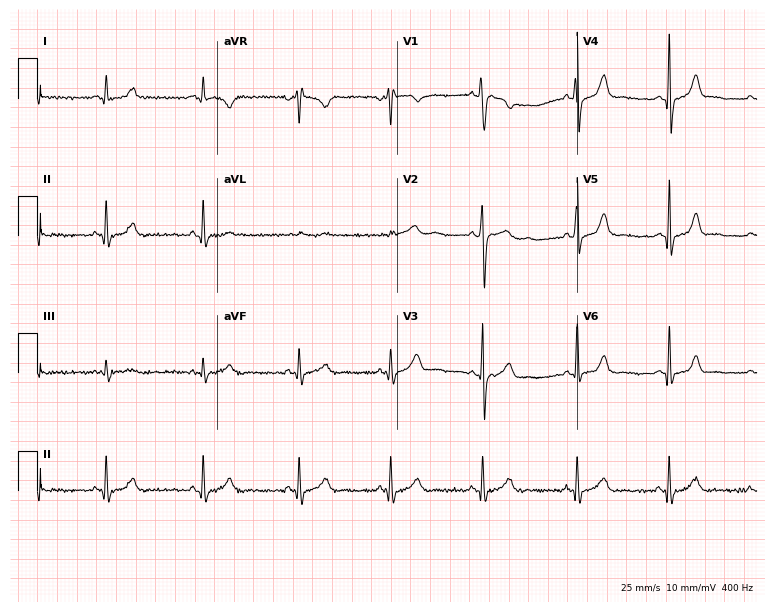
12-lead ECG from a 24-year-old male patient. Labelled as a normal ECG.